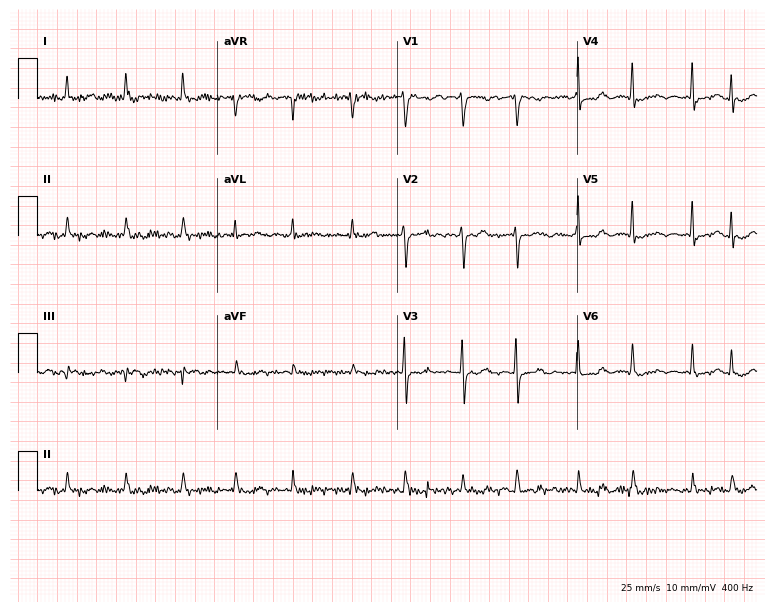
Electrocardiogram, a female, 70 years old. Interpretation includes atrial fibrillation (AF).